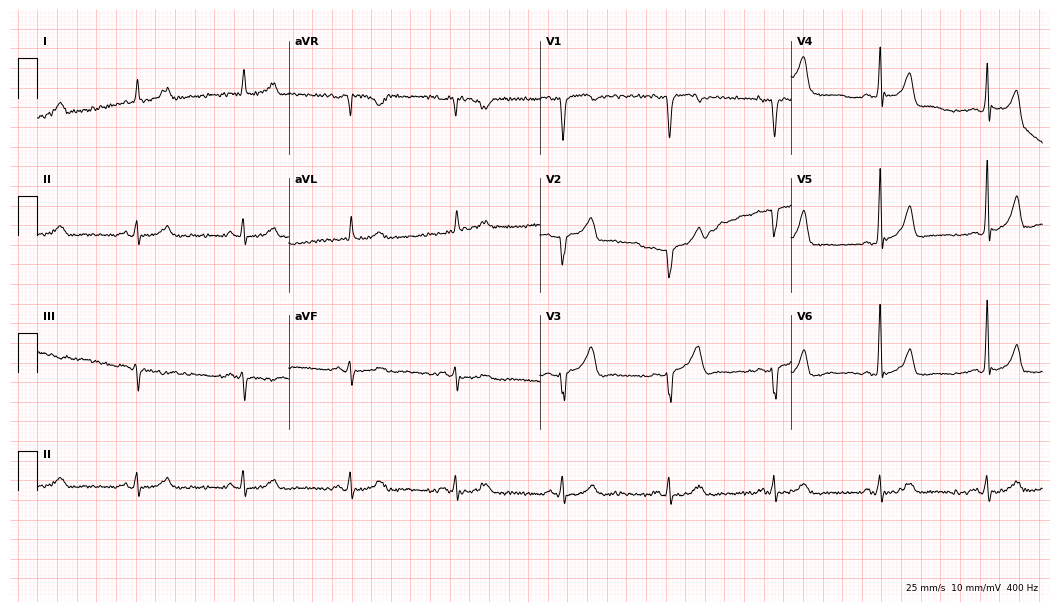
ECG (10.2-second recording at 400 Hz) — a 69-year-old male patient. Labelled as a normal ECG.